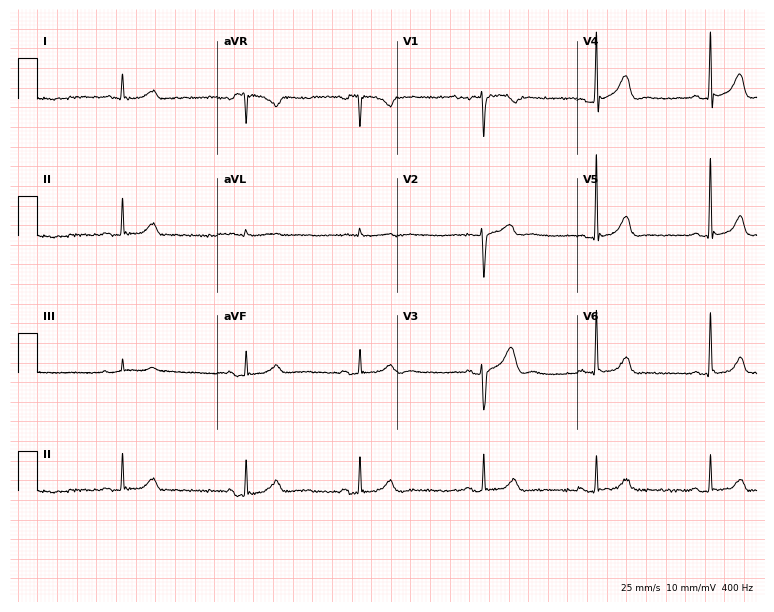
Electrocardiogram, a 55-year-old female patient. Interpretation includes sinus bradycardia (a sinus rate of 50 beats per minute or less).